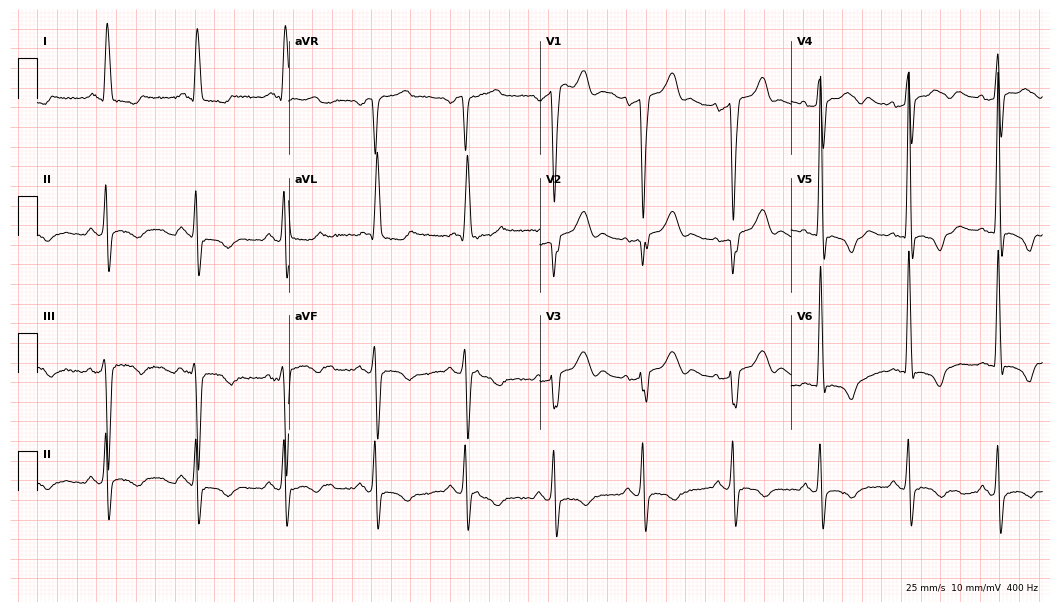
Electrocardiogram, an 82-year-old female. Of the six screened findings (first-degree AV block, right bundle branch block, left bundle branch block, sinus bradycardia, atrial fibrillation, sinus tachycardia), none is recorded.